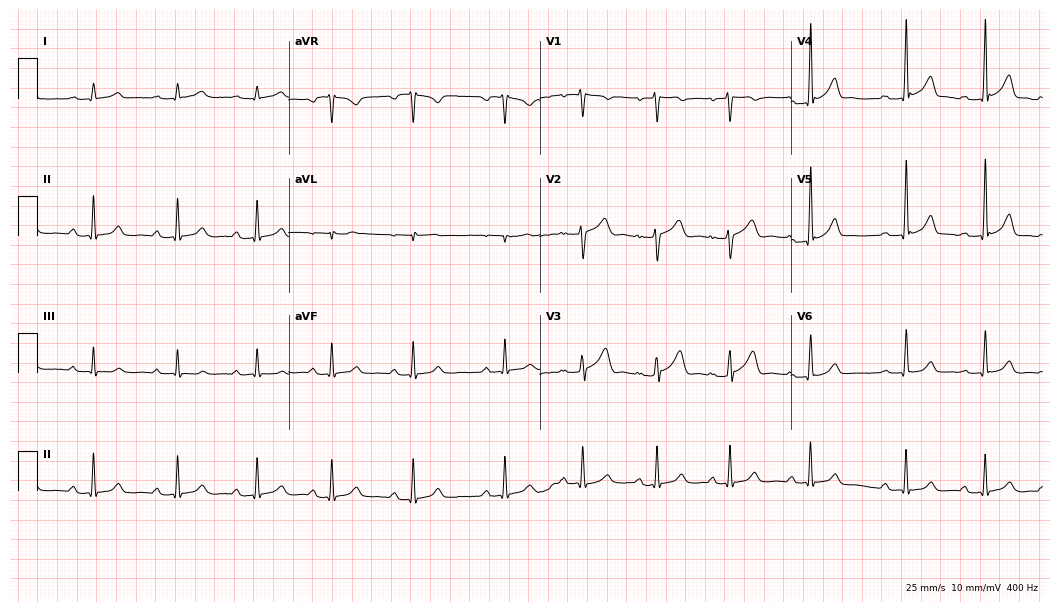
ECG — a 42-year-old male. Labelled as a normal ECG.